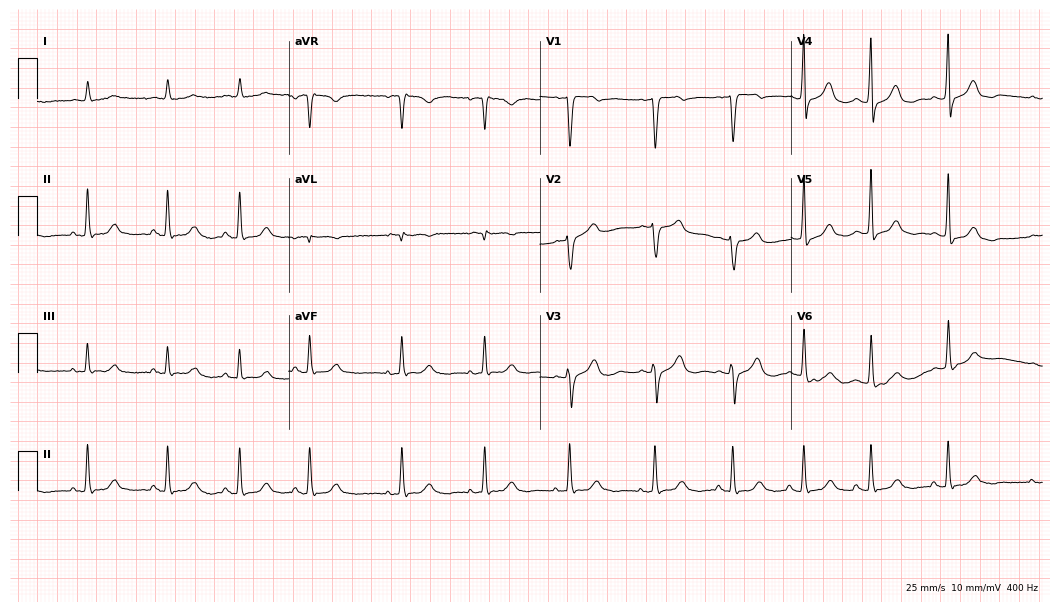
12-lead ECG from an 80-year-old female (10.2-second recording at 400 Hz). Recorded interpretation: within normal limits.